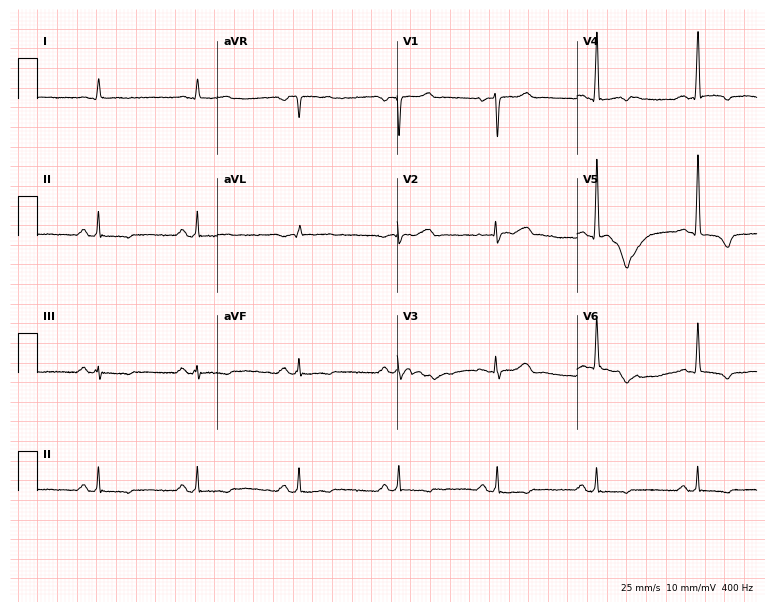
Resting 12-lead electrocardiogram (7.3-second recording at 400 Hz). Patient: a man, 58 years old. None of these six findings is recorded: first-degree AV block, right bundle branch block (RBBB), left bundle branch block (LBBB), sinus bradycardia, atrial fibrillation (AF), sinus tachycardia.